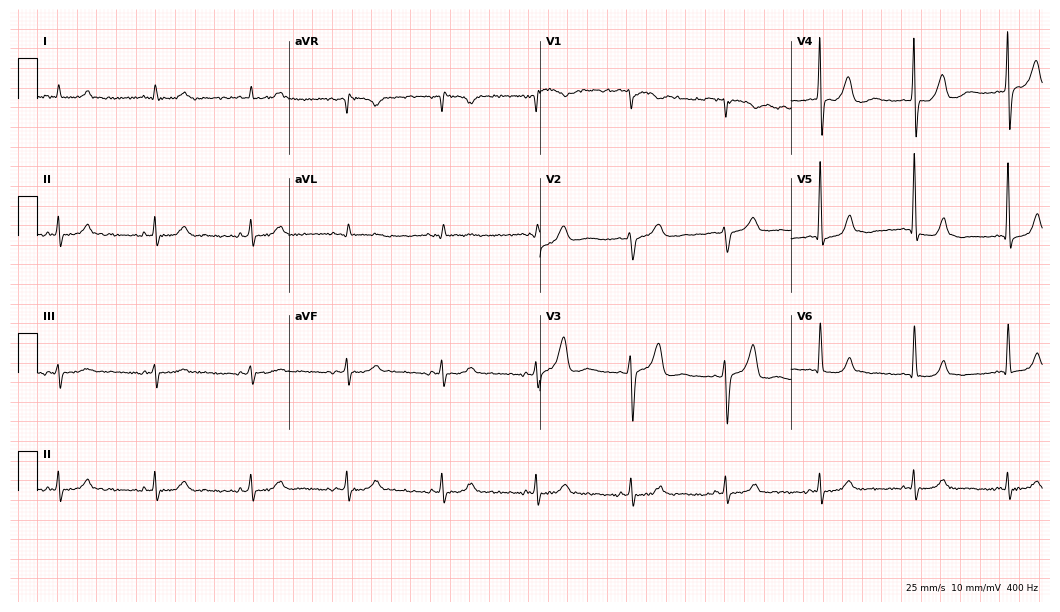
Resting 12-lead electrocardiogram. Patient: a 53-year-old male. None of these six findings is recorded: first-degree AV block, right bundle branch block, left bundle branch block, sinus bradycardia, atrial fibrillation, sinus tachycardia. Other findings, if any, are not listed.